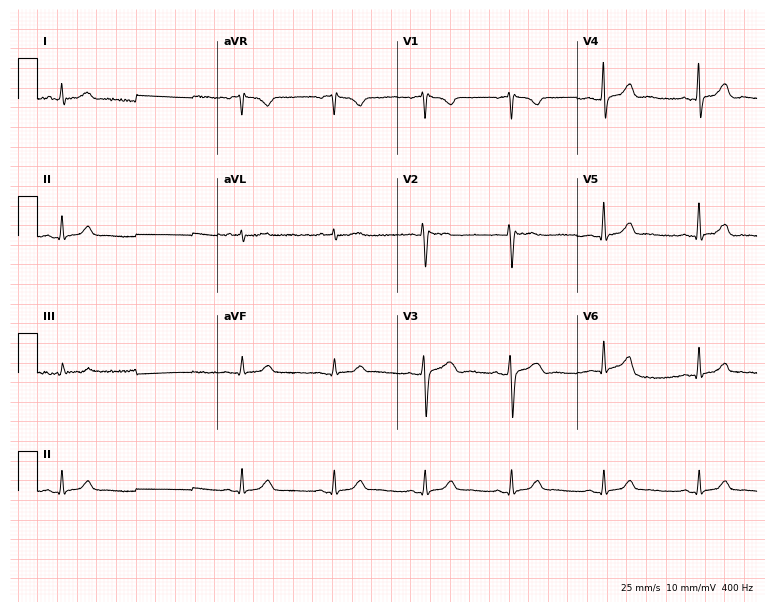
12-lead ECG from a 48-year-old male. Labelled as a normal ECG.